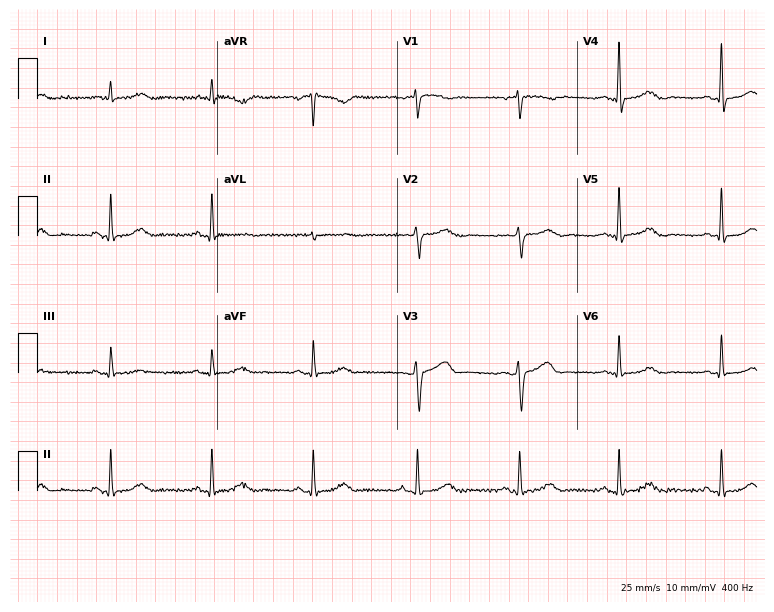
Electrocardiogram, a 56-year-old female. Of the six screened findings (first-degree AV block, right bundle branch block (RBBB), left bundle branch block (LBBB), sinus bradycardia, atrial fibrillation (AF), sinus tachycardia), none is recorded.